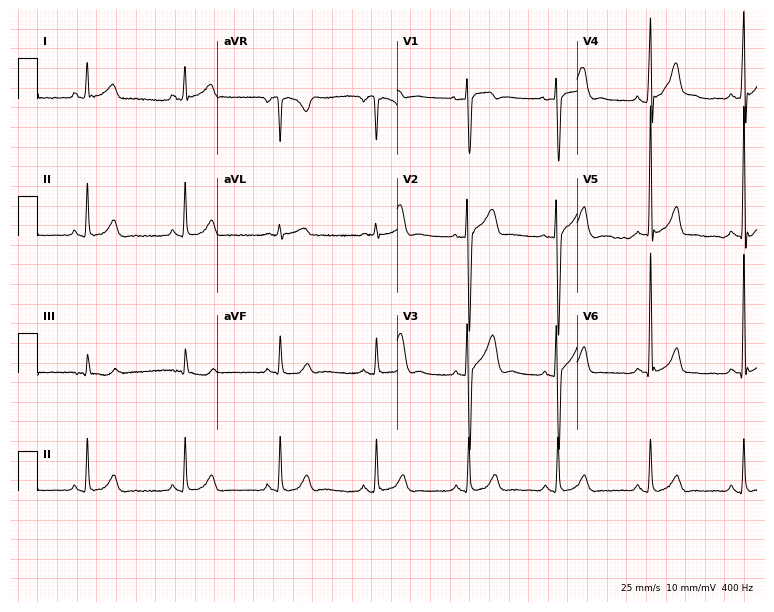
Resting 12-lead electrocardiogram (7.3-second recording at 400 Hz). Patient: a male, 32 years old. Read as a normal ECG.